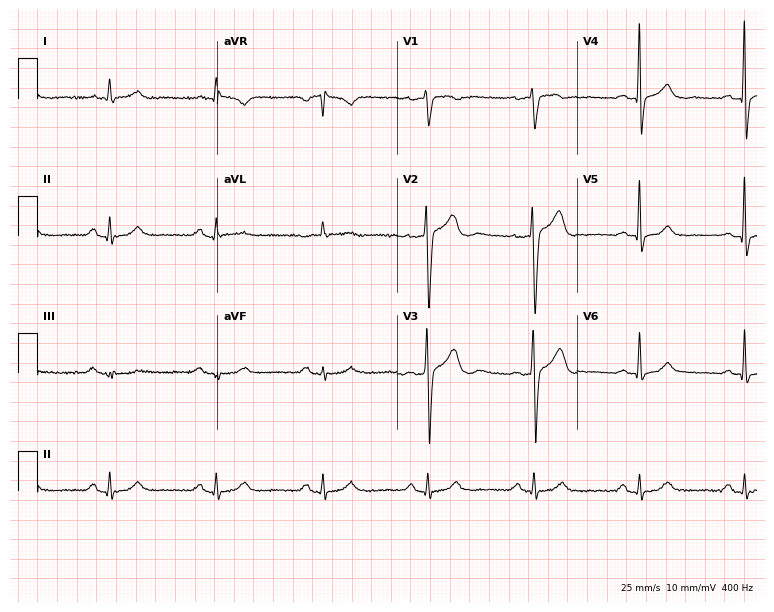
Electrocardiogram (7.3-second recording at 400 Hz), a male, 55 years old. Of the six screened findings (first-degree AV block, right bundle branch block, left bundle branch block, sinus bradycardia, atrial fibrillation, sinus tachycardia), none is recorded. Findings outside these six are not listed.